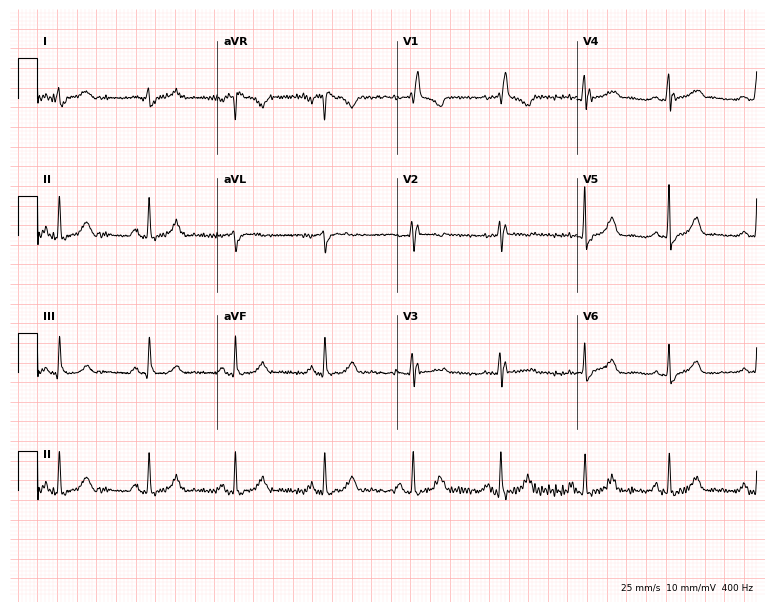
Electrocardiogram (7.3-second recording at 400 Hz), a woman, 43 years old. Of the six screened findings (first-degree AV block, right bundle branch block, left bundle branch block, sinus bradycardia, atrial fibrillation, sinus tachycardia), none is recorded.